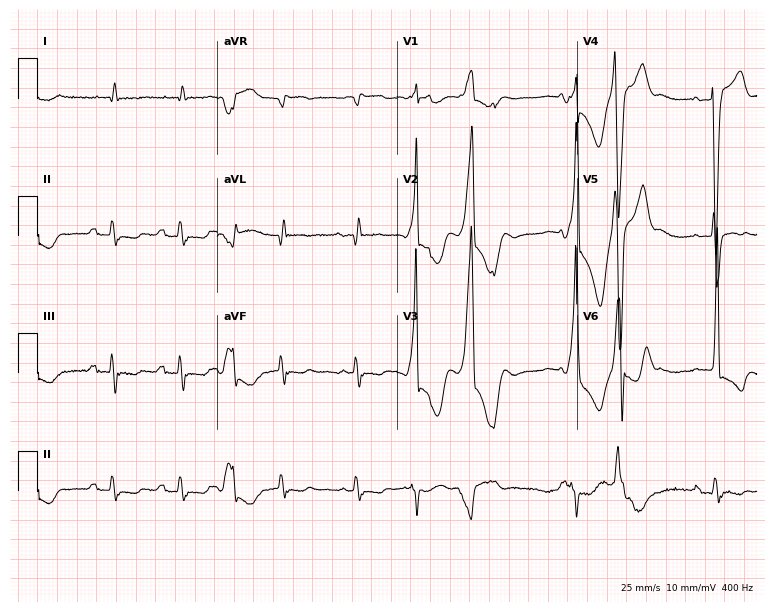
Standard 12-lead ECG recorded from a male patient, 85 years old (7.3-second recording at 400 Hz). The tracing shows first-degree AV block.